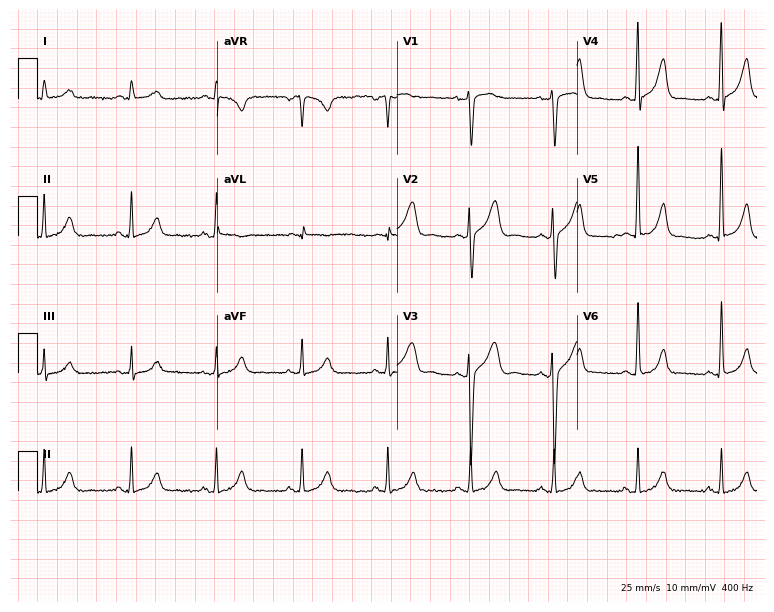
Resting 12-lead electrocardiogram. Patient: a 43-year-old male. Read as a normal ECG.